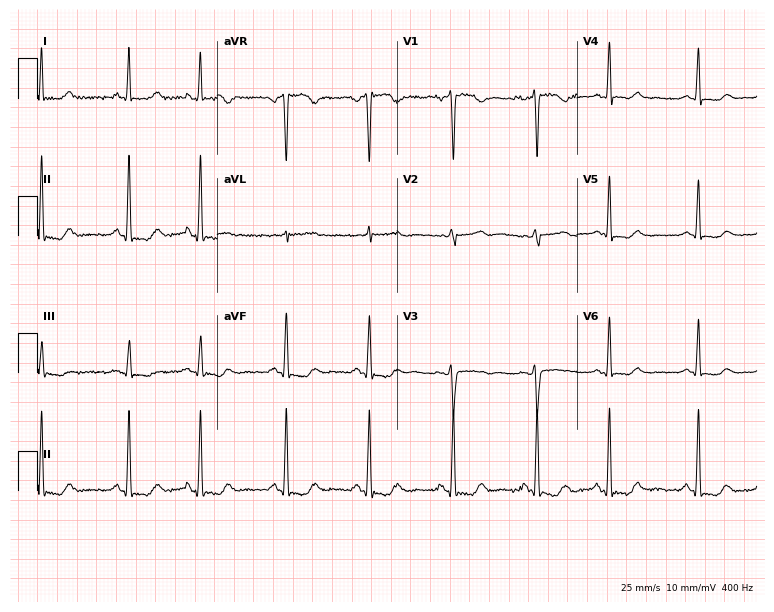
Resting 12-lead electrocardiogram. Patient: a female, 55 years old. None of these six findings is recorded: first-degree AV block, right bundle branch block, left bundle branch block, sinus bradycardia, atrial fibrillation, sinus tachycardia.